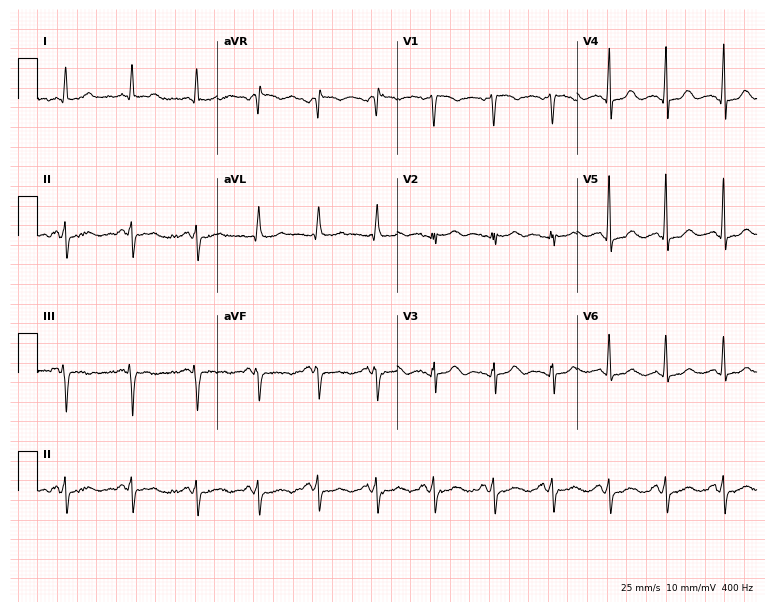
12-lead ECG from a 41-year-old woman. Screened for six findings — first-degree AV block, right bundle branch block (RBBB), left bundle branch block (LBBB), sinus bradycardia, atrial fibrillation (AF), sinus tachycardia — none is recorded.